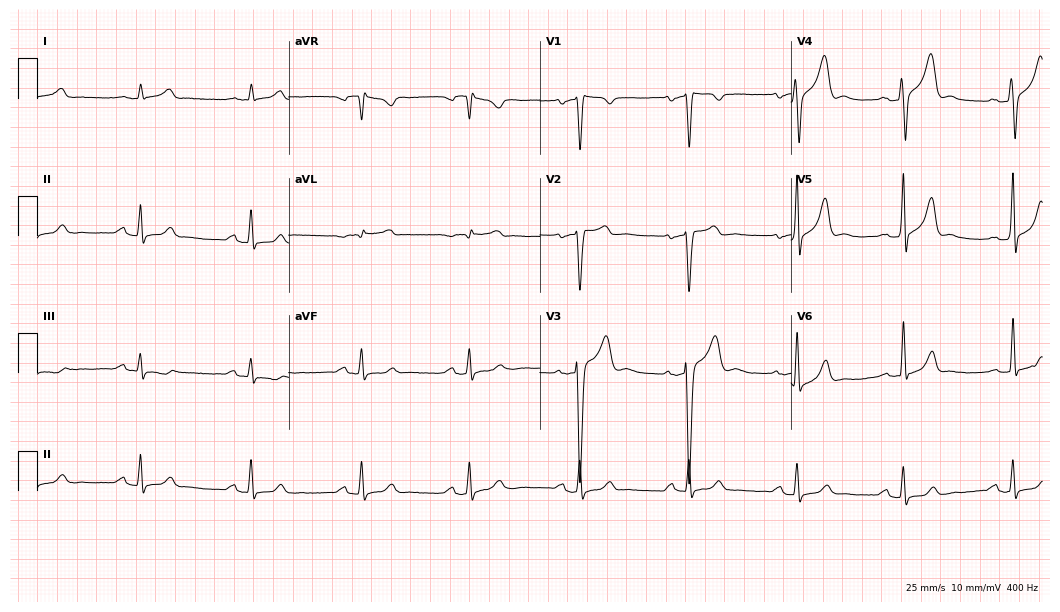
Electrocardiogram (10.2-second recording at 400 Hz), a 61-year-old man. Of the six screened findings (first-degree AV block, right bundle branch block, left bundle branch block, sinus bradycardia, atrial fibrillation, sinus tachycardia), none is recorded.